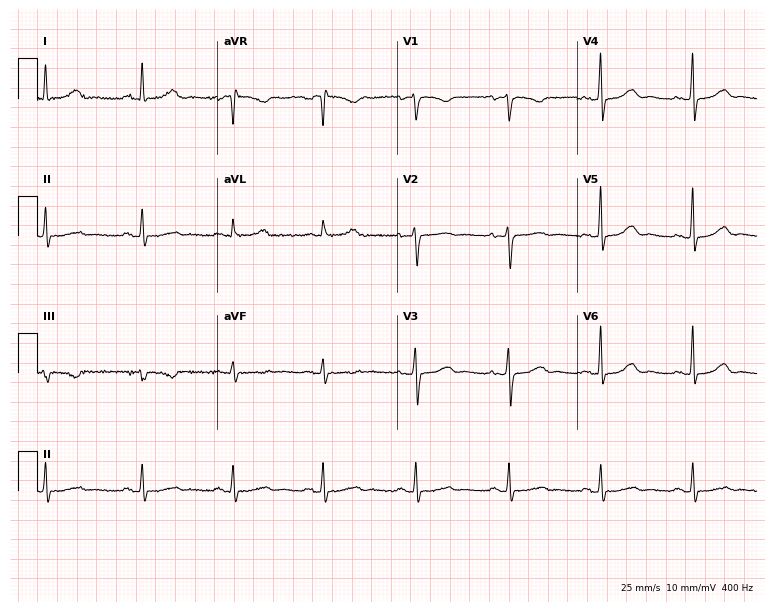
Standard 12-lead ECG recorded from a 48-year-old woman (7.3-second recording at 400 Hz). Read as a normal ECG.